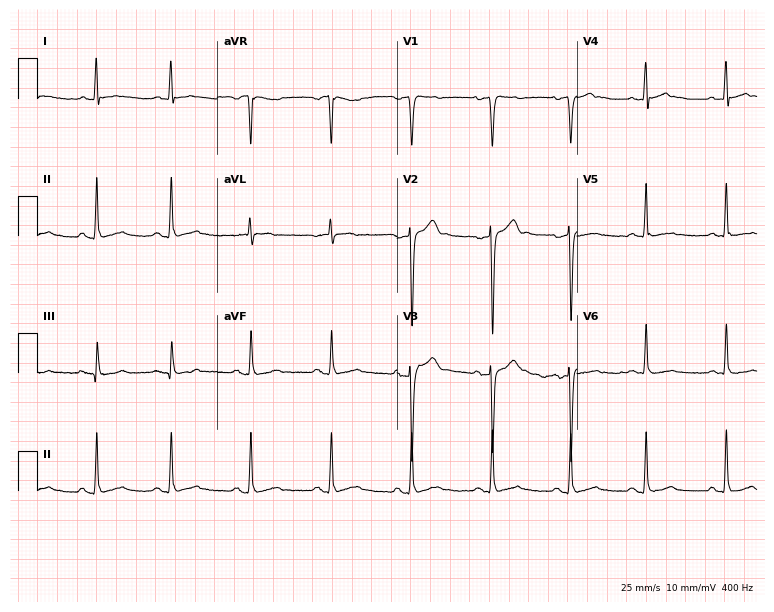
Resting 12-lead electrocardiogram. Patient: a 38-year-old male. None of these six findings is recorded: first-degree AV block, right bundle branch block, left bundle branch block, sinus bradycardia, atrial fibrillation, sinus tachycardia. Other findings, if any, are not listed.